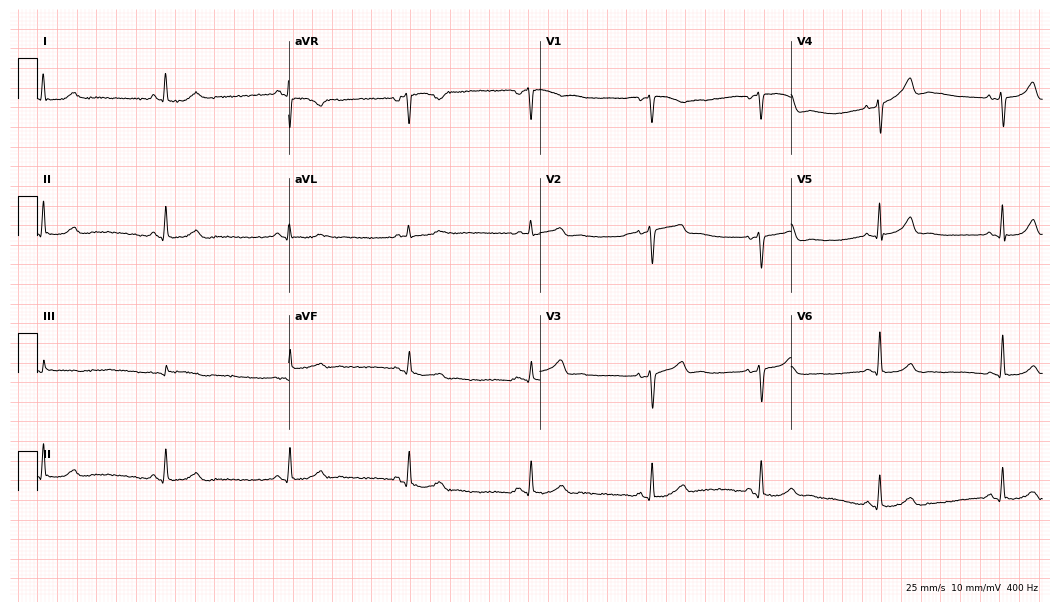
Standard 12-lead ECG recorded from a female, 50 years old. None of these six findings is recorded: first-degree AV block, right bundle branch block, left bundle branch block, sinus bradycardia, atrial fibrillation, sinus tachycardia. Other findings, if any, are not listed.